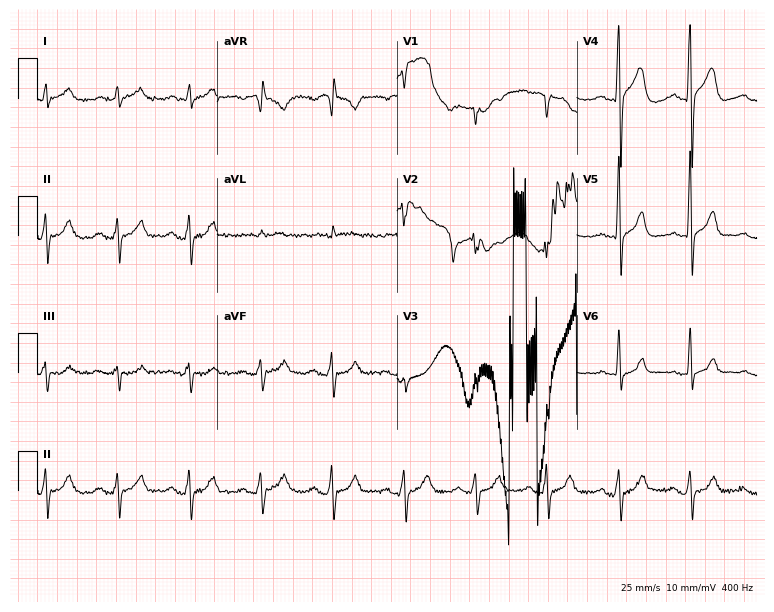
12-lead ECG (7.3-second recording at 400 Hz) from a man, 32 years old. Screened for six findings — first-degree AV block, right bundle branch block (RBBB), left bundle branch block (LBBB), sinus bradycardia, atrial fibrillation (AF), sinus tachycardia — none is recorded.